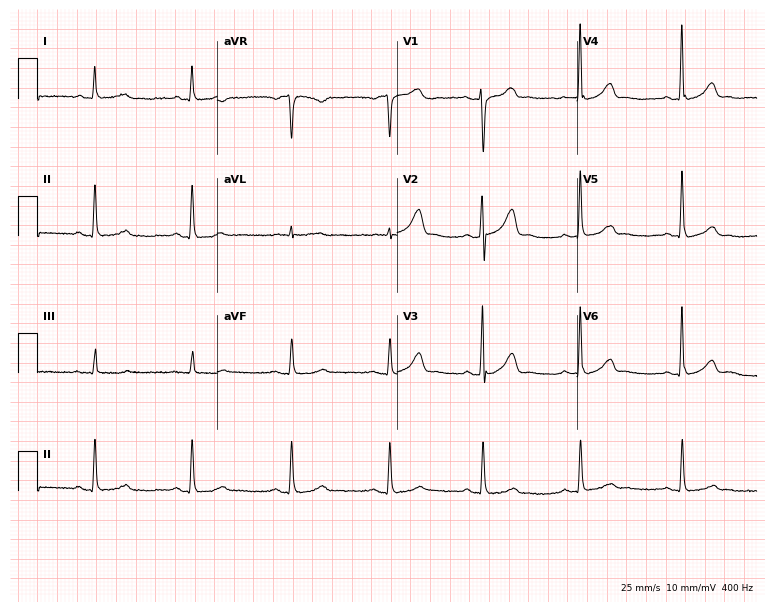
12-lead ECG from a female, 44 years old (7.3-second recording at 400 Hz). Recorded interpretation: within normal limits.